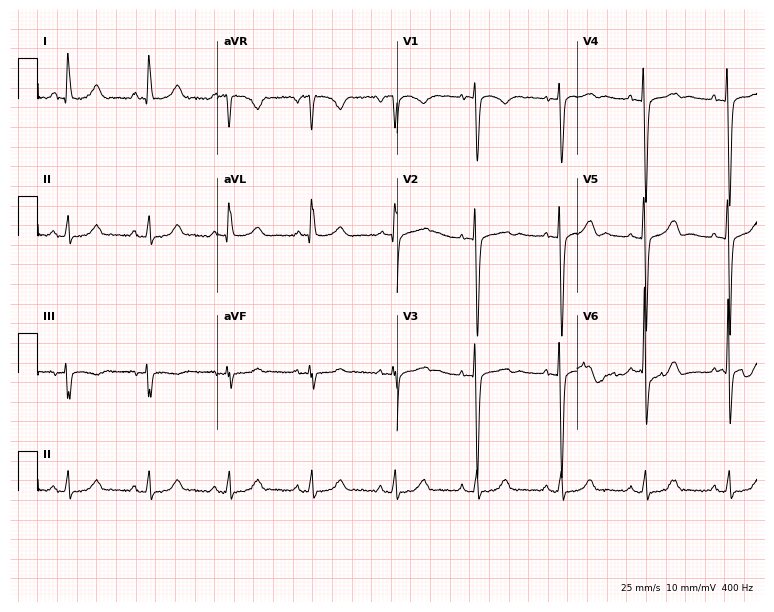
12-lead ECG from a 67-year-old female patient (7.3-second recording at 400 Hz). Recorded interpretation: within normal limits.